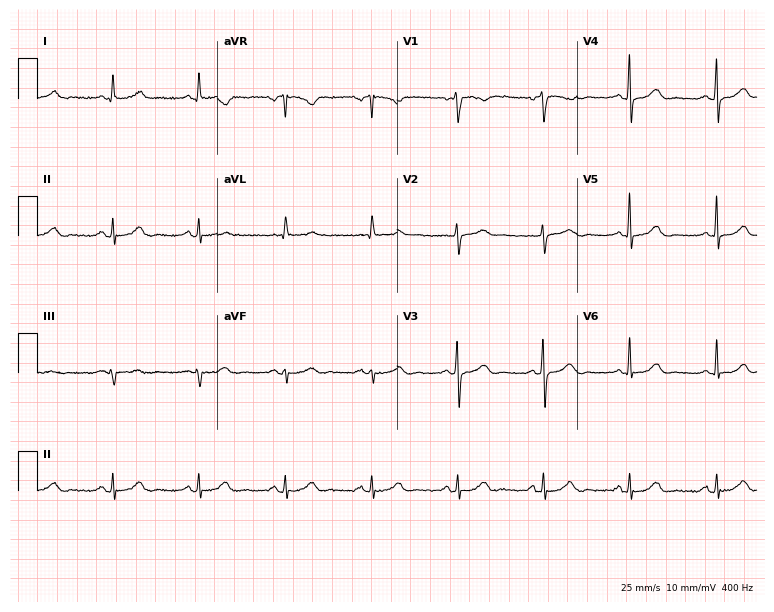
Electrocardiogram (7.3-second recording at 400 Hz), a woman, 55 years old. Overall reading on record: normal ECG.